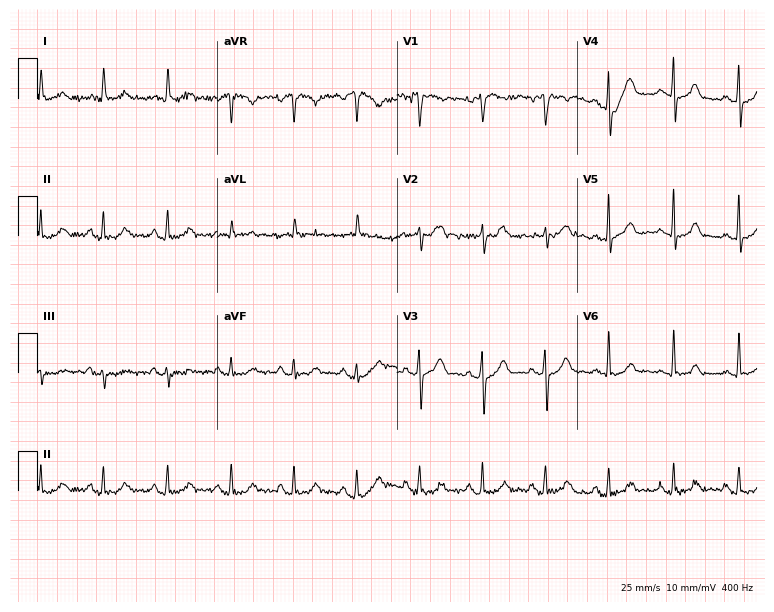
Standard 12-lead ECG recorded from a 64-year-old male. Read as a normal ECG.